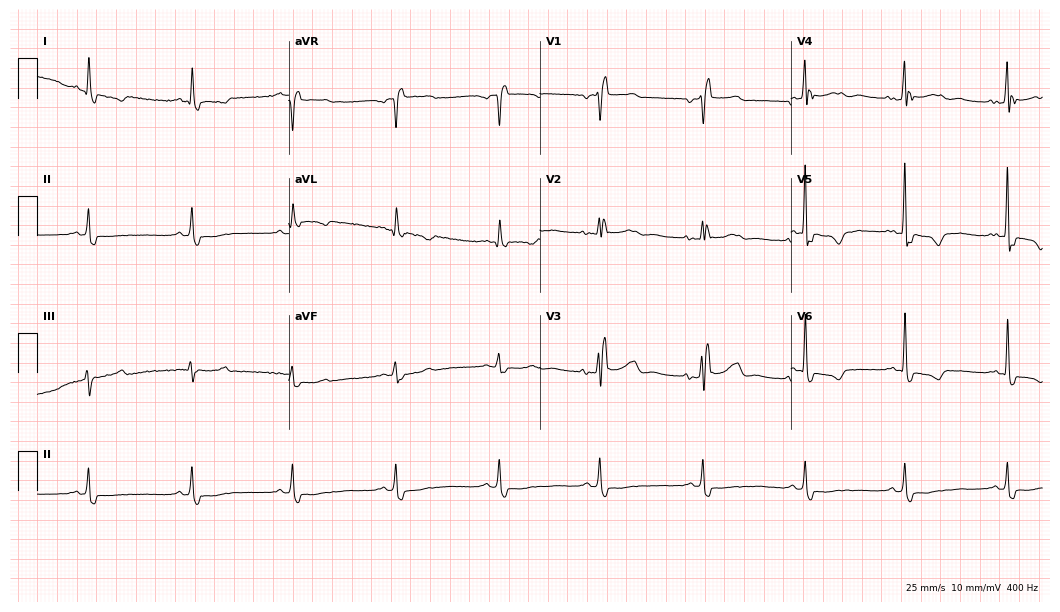
12-lead ECG (10.2-second recording at 400 Hz) from a 65-year-old woman. Screened for six findings — first-degree AV block, right bundle branch block (RBBB), left bundle branch block (LBBB), sinus bradycardia, atrial fibrillation (AF), sinus tachycardia — none is recorded.